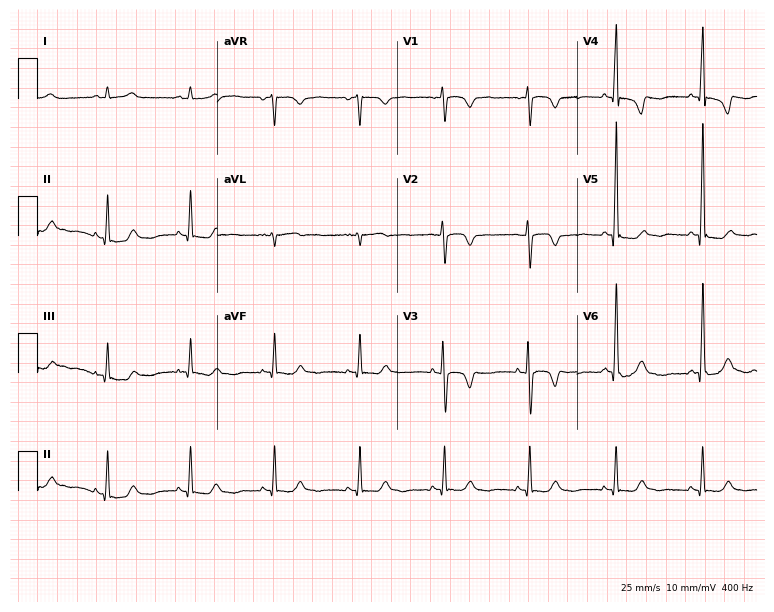
ECG (7.3-second recording at 400 Hz) — a 61-year-old female. Screened for six findings — first-degree AV block, right bundle branch block (RBBB), left bundle branch block (LBBB), sinus bradycardia, atrial fibrillation (AF), sinus tachycardia — none is recorded.